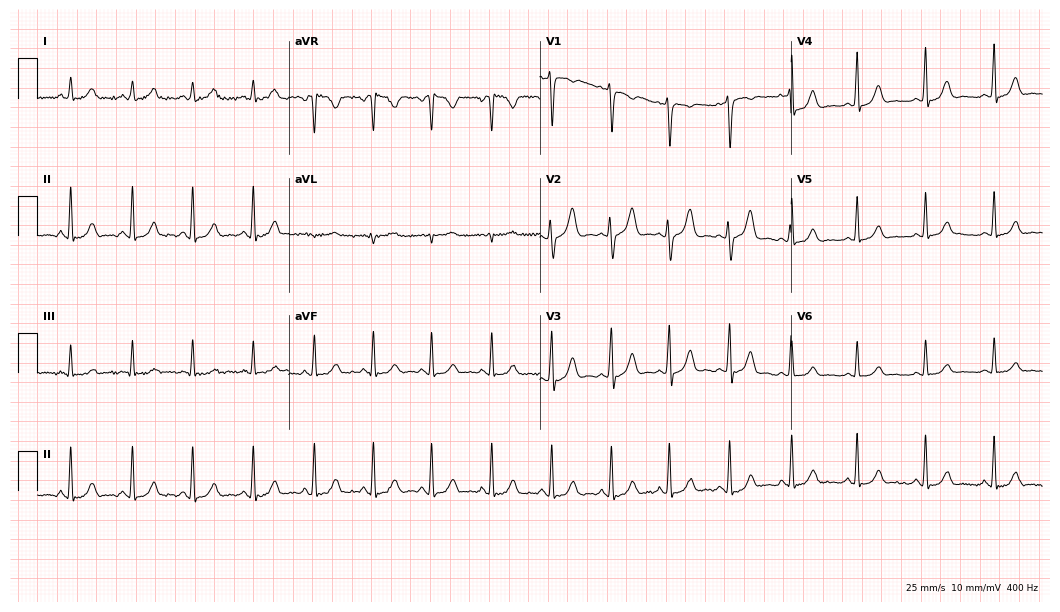
Resting 12-lead electrocardiogram (10.2-second recording at 400 Hz). Patient: a woman, 26 years old. Read as a normal ECG.